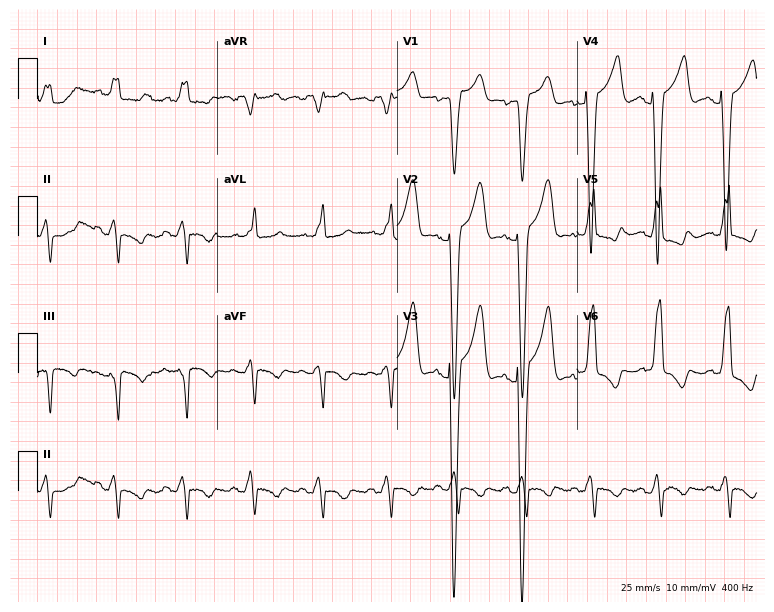
Resting 12-lead electrocardiogram. Patient: a female, 85 years old. The tracing shows left bundle branch block.